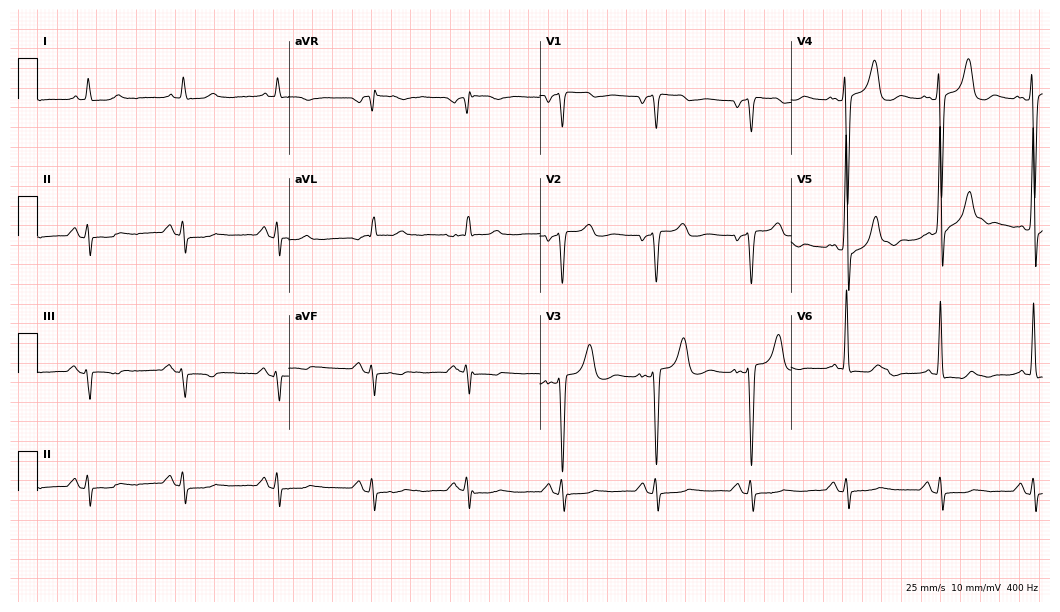
ECG — a 59-year-old male patient. Screened for six findings — first-degree AV block, right bundle branch block, left bundle branch block, sinus bradycardia, atrial fibrillation, sinus tachycardia — none is recorded.